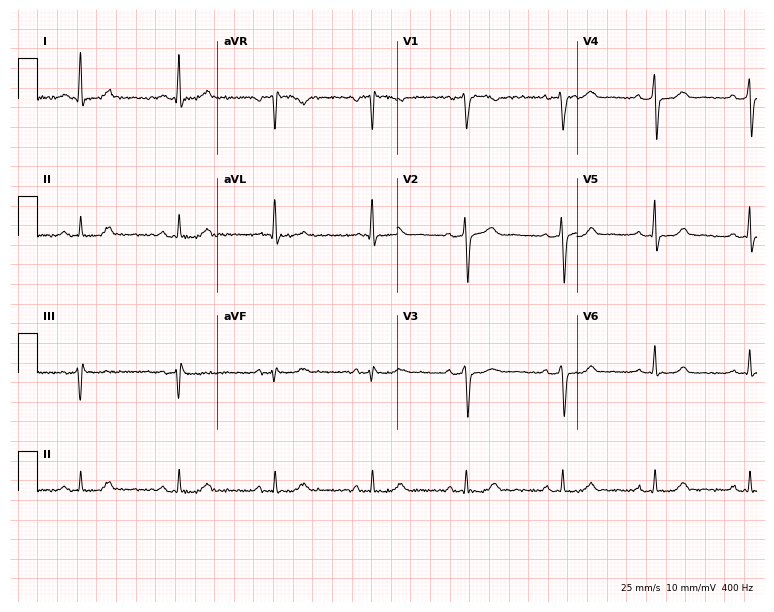
Resting 12-lead electrocardiogram. Patient: a 57-year-old female. Read as a normal ECG.